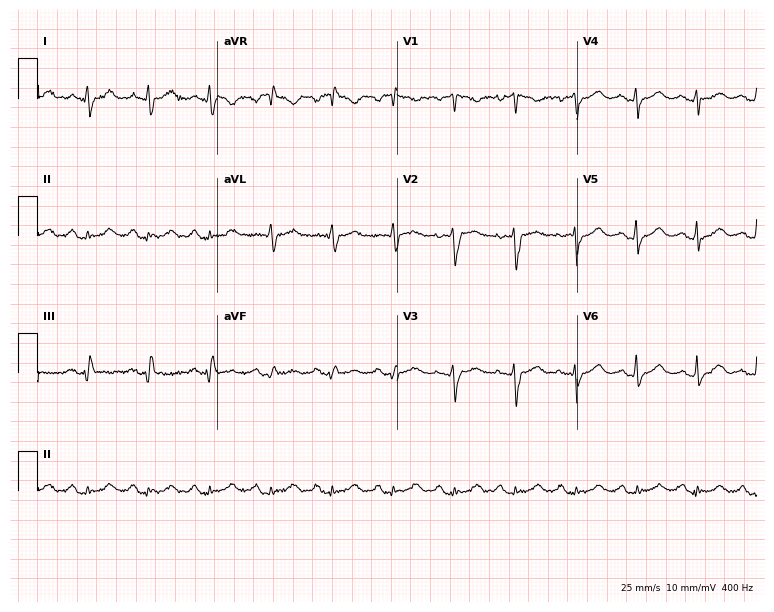
Resting 12-lead electrocardiogram (7.3-second recording at 400 Hz). Patient: a male, 46 years old. Read as a normal ECG.